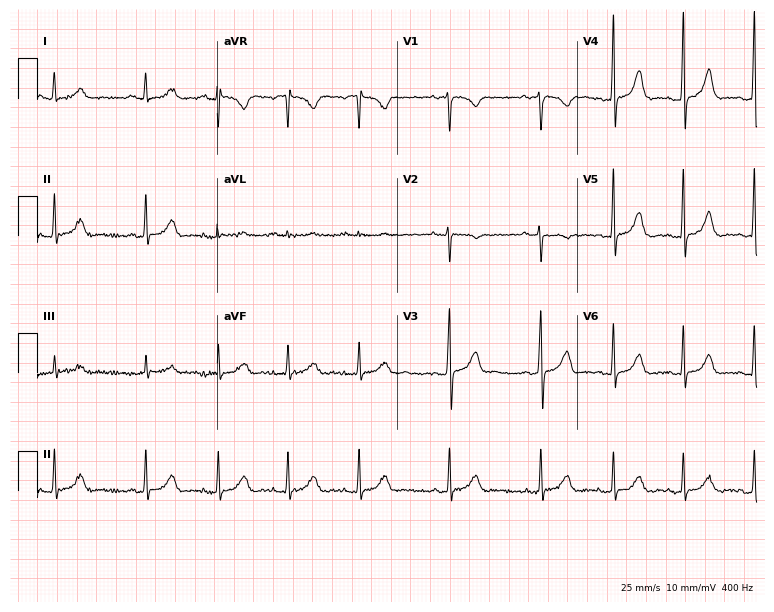
Standard 12-lead ECG recorded from a 17-year-old woman. Read as a normal ECG.